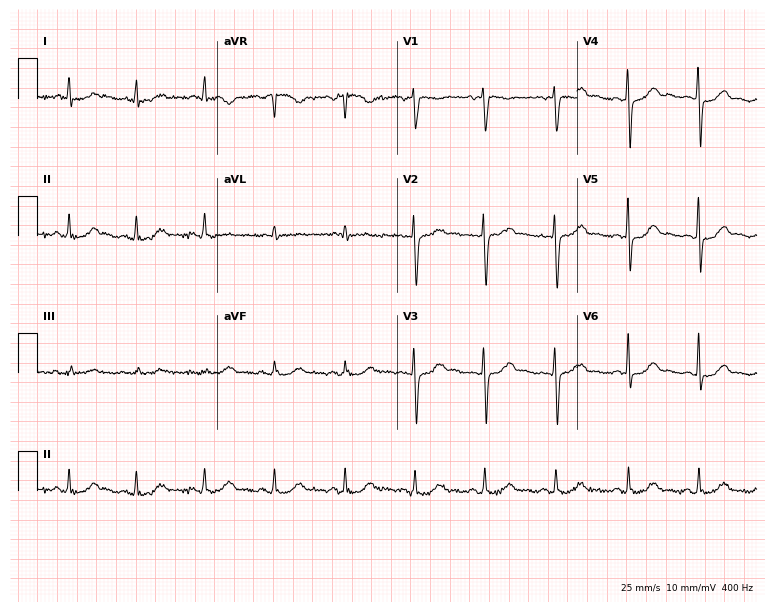
12-lead ECG from a 53-year-old female patient. No first-degree AV block, right bundle branch block, left bundle branch block, sinus bradycardia, atrial fibrillation or sinus tachycardia recorded for this tracing.